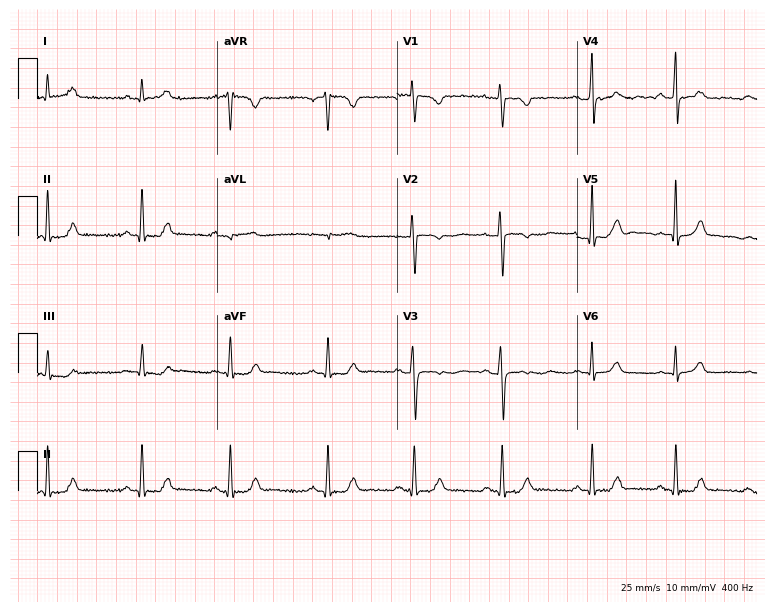
Standard 12-lead ECG recorded from a 49-year-old female patient (7.3-second recording at 400 Hz). Read as a normal ECG.